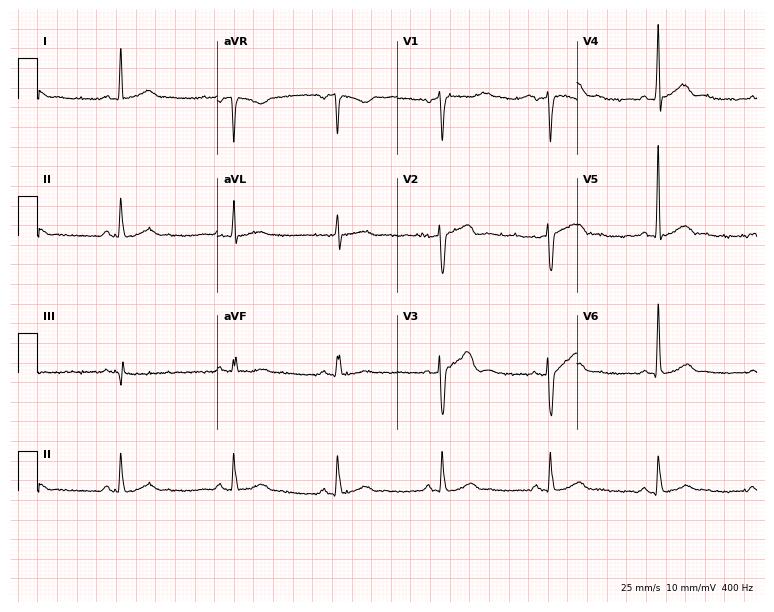
Standard 12-lead ECG recorded from a 52-year-old male (7.3-second recording at 400 Hz). Read as a normal ECG.